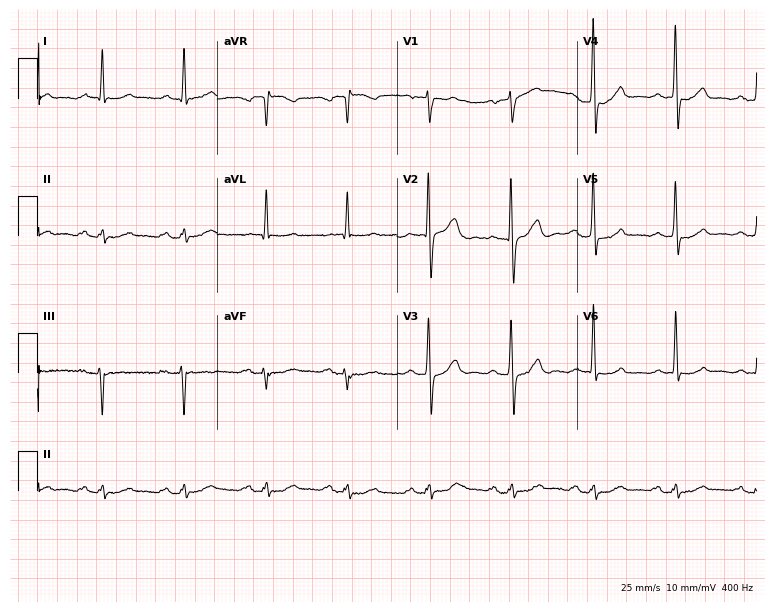
Resting 12-lead electrocardiogram (7.3-second recording at 400 Hz). Patient: a 63-year-old male. None of these six findings is recorded: first-degree AV block, right bundle branch block (RBBB), left bundle branch block (LBBB), sinus bradycardia, atrial fibrillation (AF), sinus tachycardia. Only these six findings were labelled.